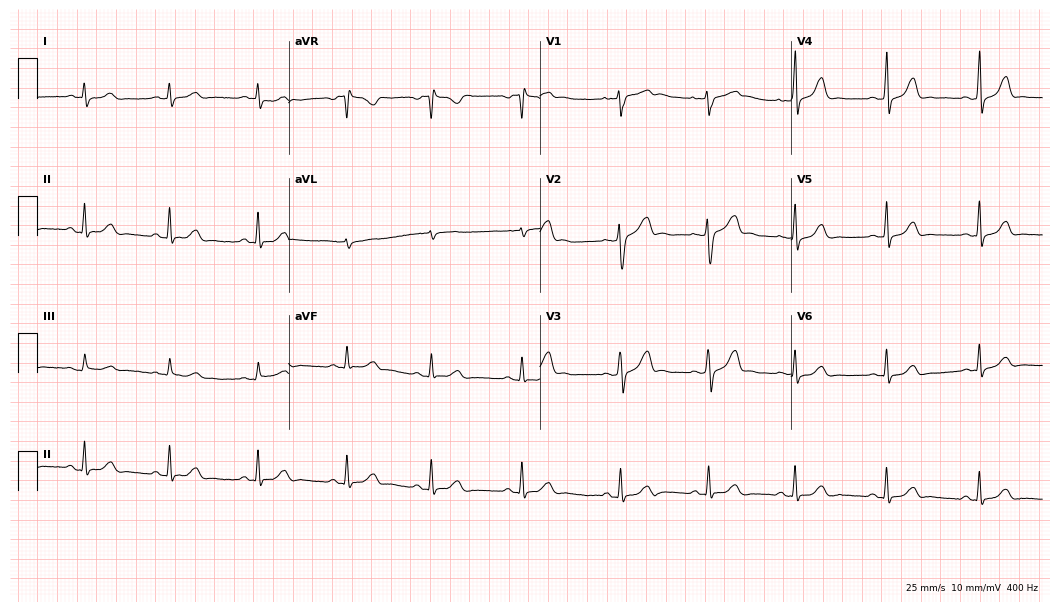
ECG (10.2-second recording at 400 Hz) — a 22-year-old female. Labelled as a normal ECG.